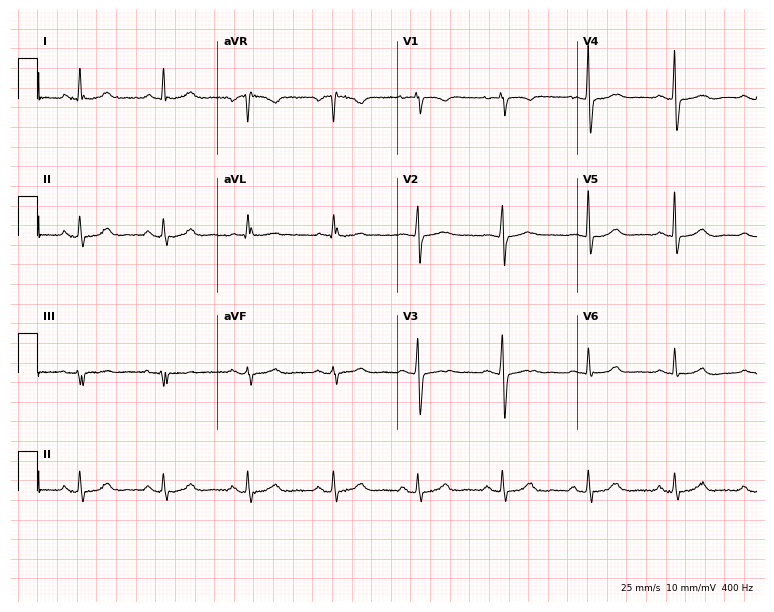
Electrocardiogram, a 63-year-old woman. Overall reading on record: normal ECG.